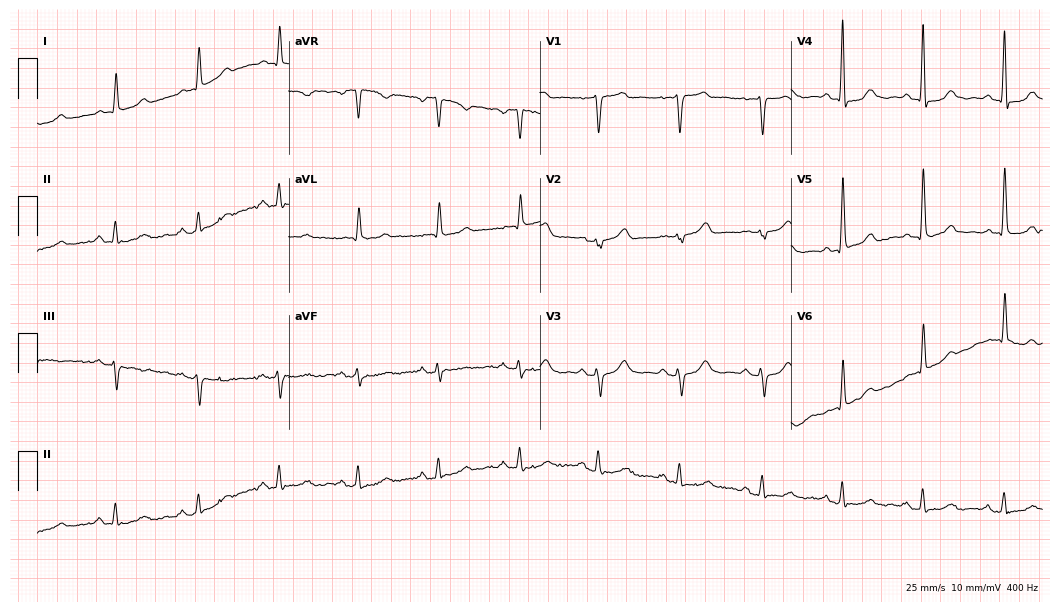
ECG (10.2-second recording at 400 Hz) — a female, 82 years old. Screened for six findings — first-degree AV block, right bundle branch block (RBBB), left bundle branch block (LBBB), sinus bradycardia, atrial fibrillation (AF), sinus tachycardia — none is recorded.